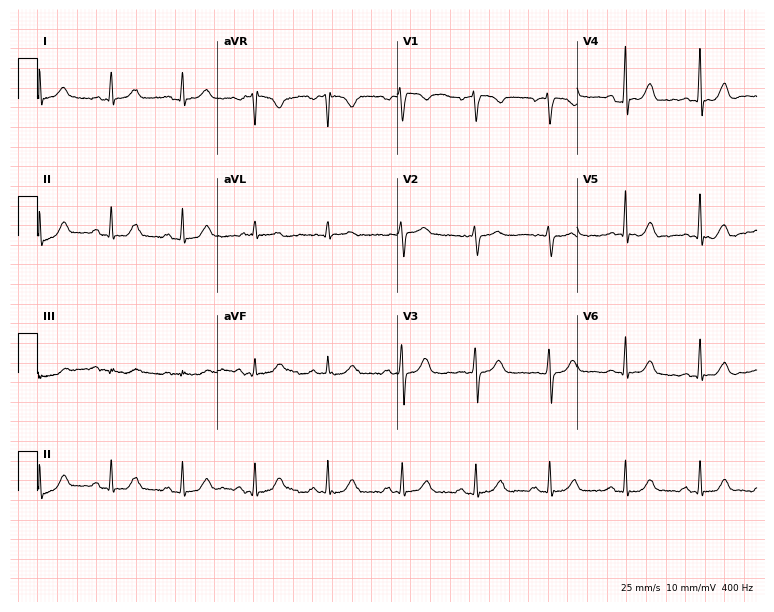
Standard 12-lead ECG recorded from a woman, 54 years old (7.3-second recording at 400 Hz). Read as a normal ECG.